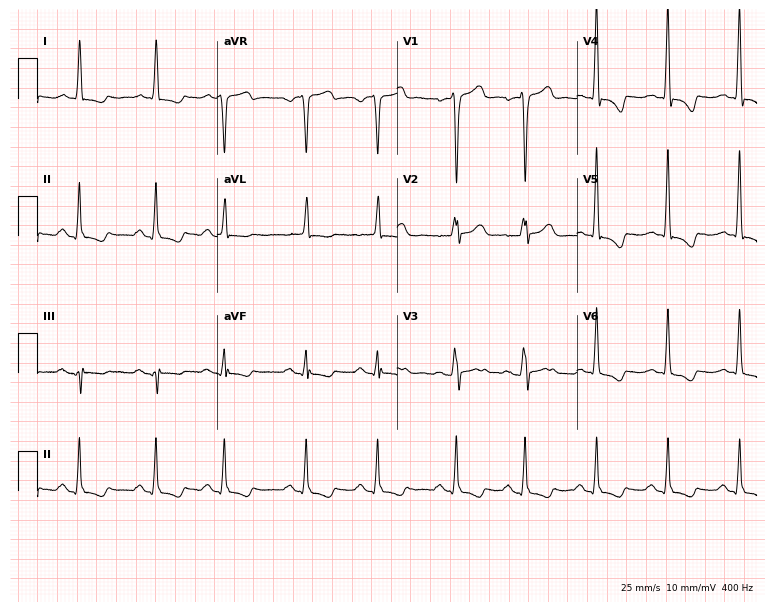
12-lead ECG from a 61-year-old man. No first-degree AV block, right bundle branch block, left bundle branch block, sinus bradycardia, atrial fibrillation or sinus tachycardia recorded for this tracing. Other findings, if any, are not listed.